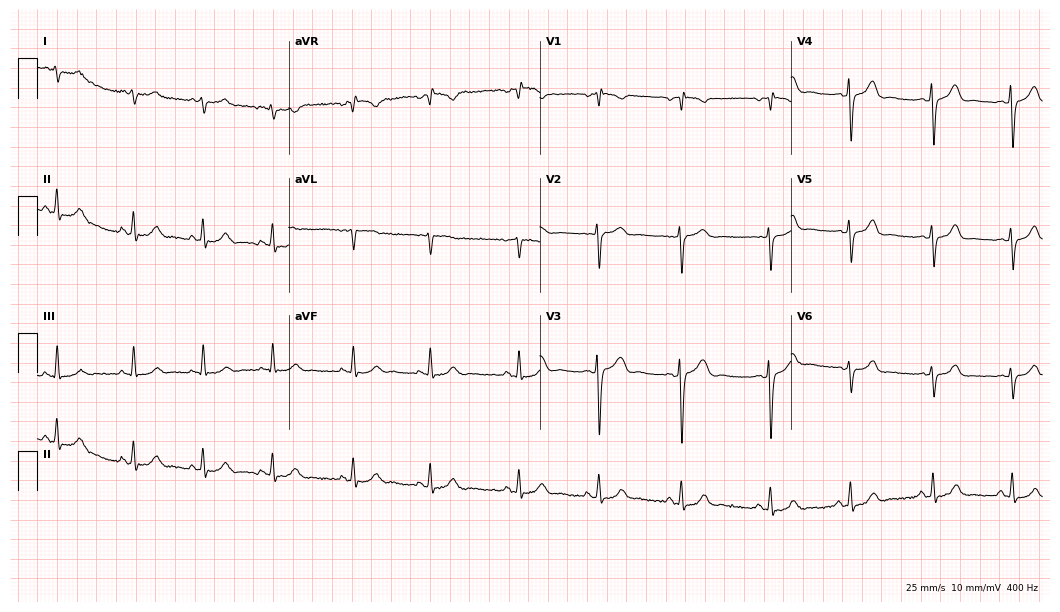
12-lead ECG from a woman, 17 years old. No first-degree AV block, right bundle branch block, left bundle branch block, sinus bradycardia, atrial fibrillation or sinus tachycardia recorded for this tracing.